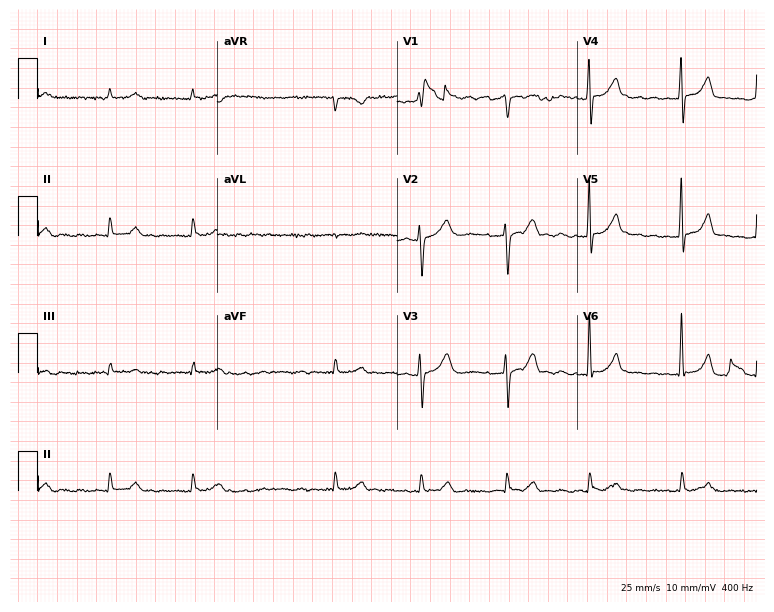
12-lead ECG (7.3-second recording at 400 Hz) from a 61-year-old female. Findings include atrial fibrillation.